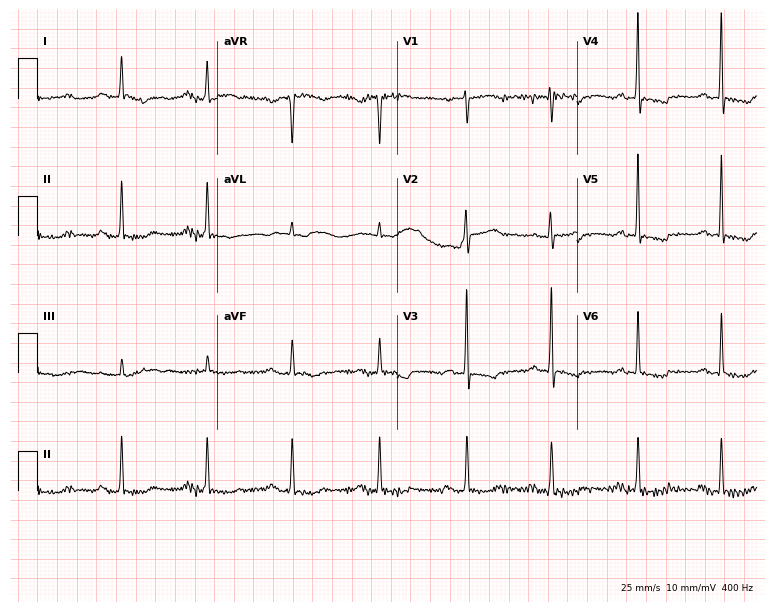
12-lead ECG from a female patient, 68 years old. No first-degree AV block, right bundle branch block (RBBB), left bundle branch block (LBBB), sinus bradycardia, atrial fibrillation (AF) or sinus tachycardia recorded for this tracing. Other findings, if any, are not listed.